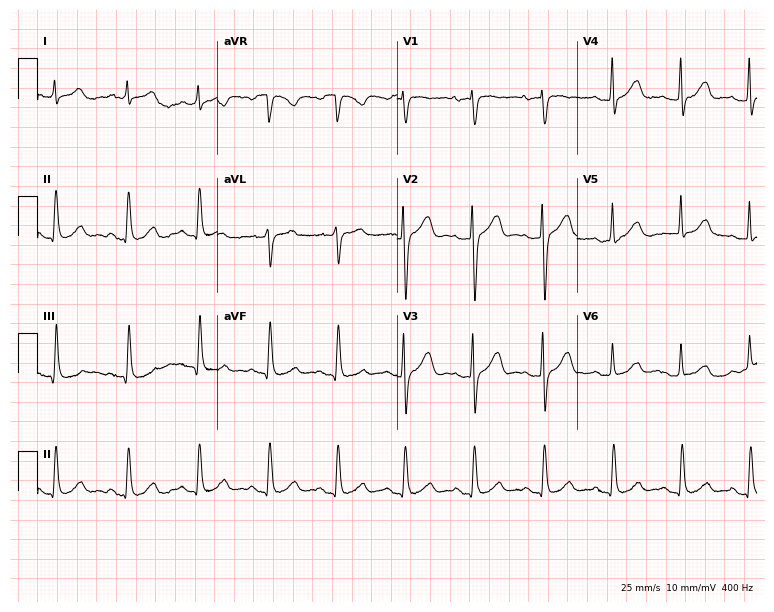
Electrocardiogram, a female, 65 years old. Overall reading on record: normal ECG.